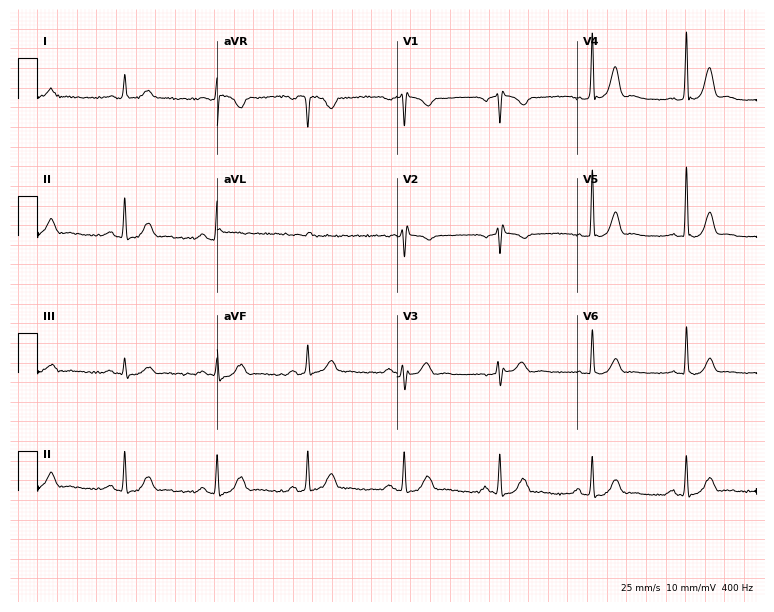
Standard 12-lead ECG recorded from a male, 47 years old. None of these six findings is recorded: first-degree AV block, right bundle branch block, left bundle branch block, sinus bradycardia, atrial fibrillation, sinus tachycardia. Findings outside these six are not listed.